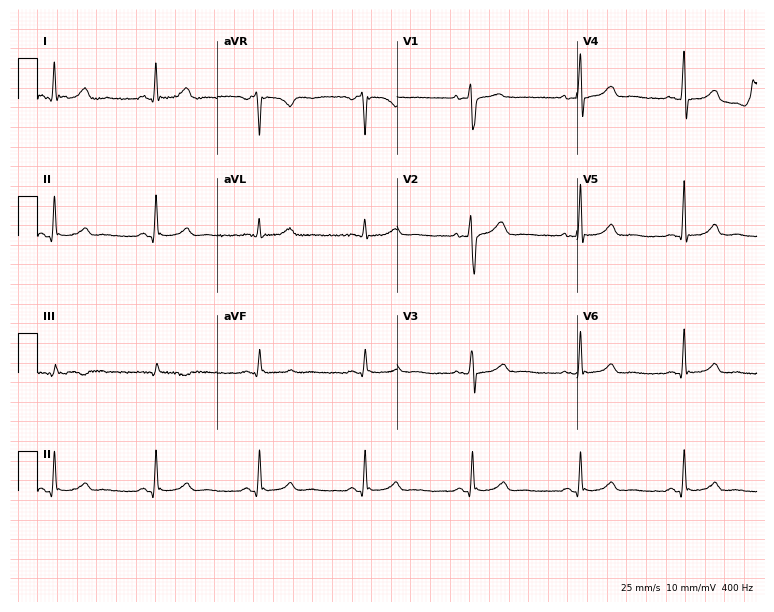
ECG (7.3-second recording at 400 Hz) — a 43-year-old female patient. Labelled as a normal ECG.